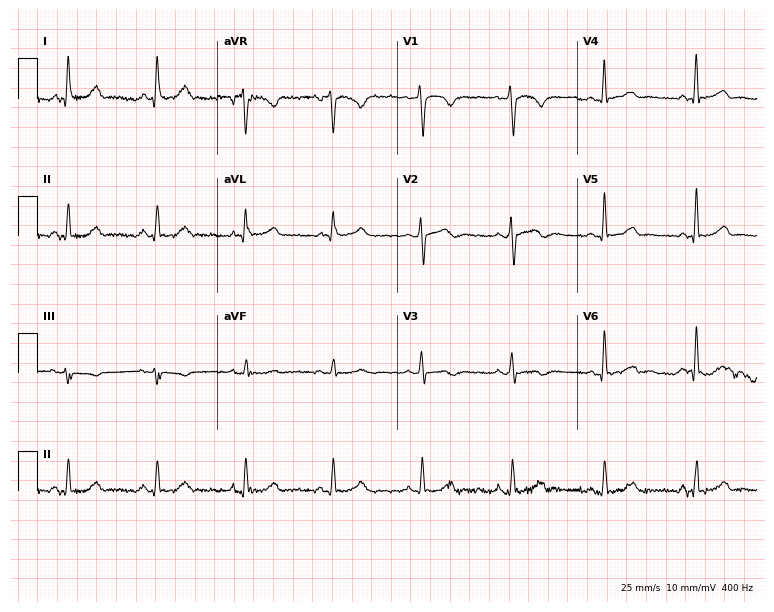
Standard 12-lead ECG recorded from a 55-year-old female (7.3-second recording at 400 Hz). Read as a normal ECG.